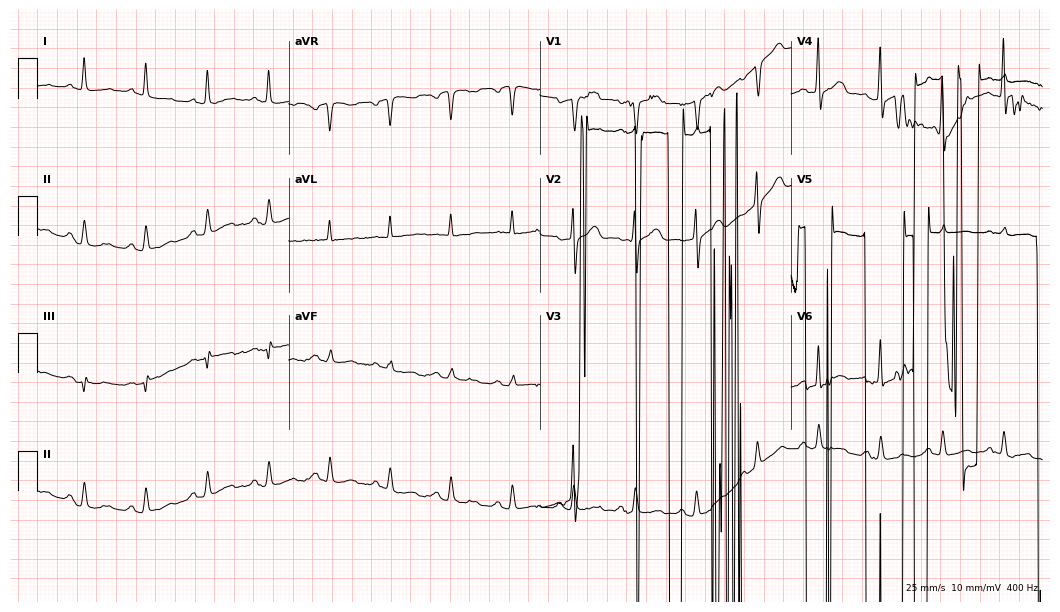
Electrocardiogram, a male, 43 years old. Of the six screened findings (first-degree AV block, right bundle branch block, left bundle branch block, sinus bradycardia, atrial fibrillation, sinus tachycardia), none is recorded. Other findings, if any, are not listed.